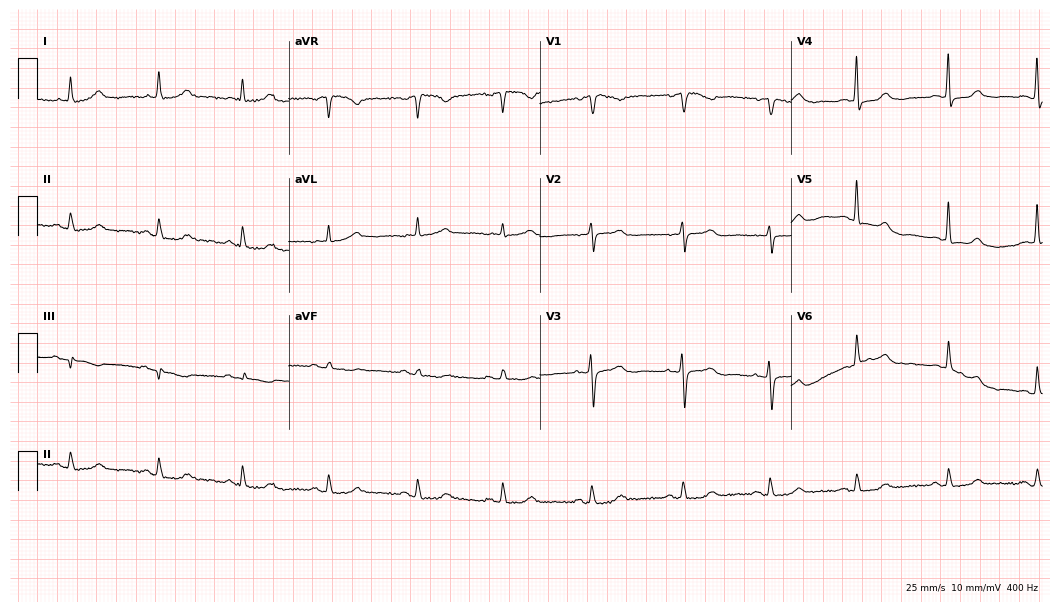
12-lead ECG from a 79-year-old female. No first-degree AV block, right bundle branch block, left bundle branch block, sinus bradycardia, atrial fibrillation or sinus tachycardia recorded for this tracing. Only these six findings were labelled.